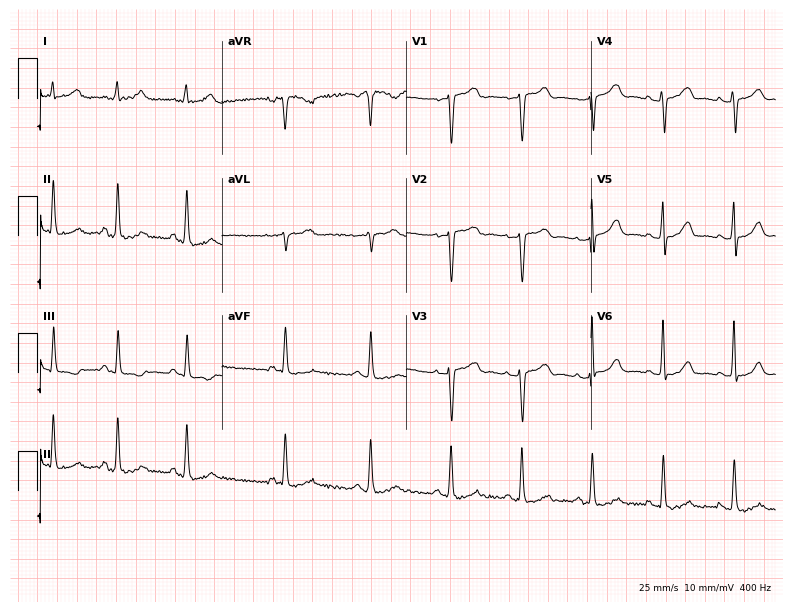
Resting 12-lead electrocardiogram. Patient: a 59-year-old female. Read as a normal ECG.